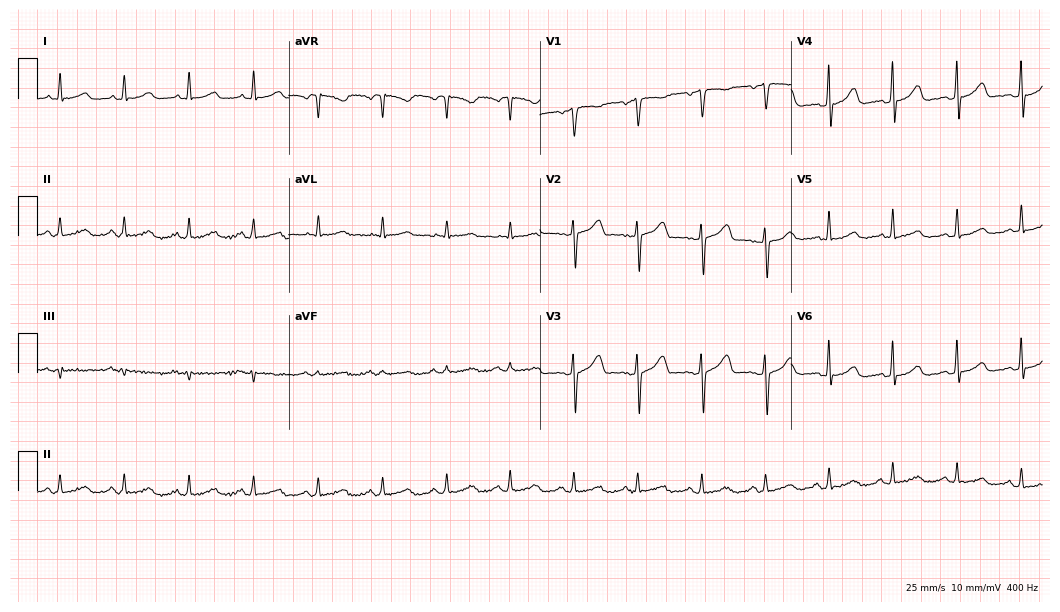
12-lead ECG from a 50-year-old woman (10.2-second recording at 400 Hz). Recorded interpretation: within normal limits.